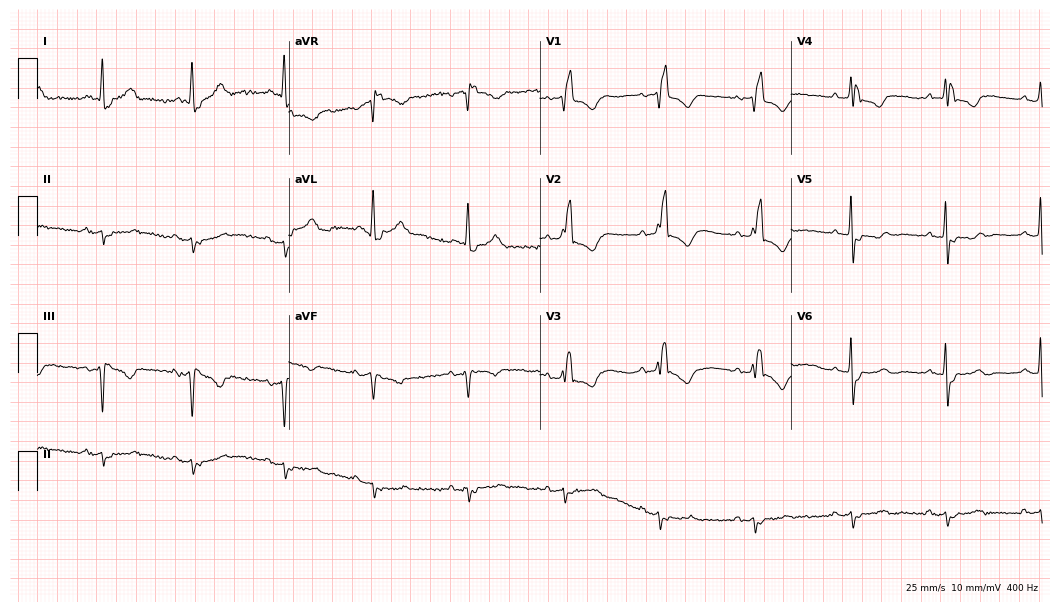
Electrocardiogram (10.2-second recording at 400 Hz), a male patient, 81 years old. Interpretation includes right bundle branch block.